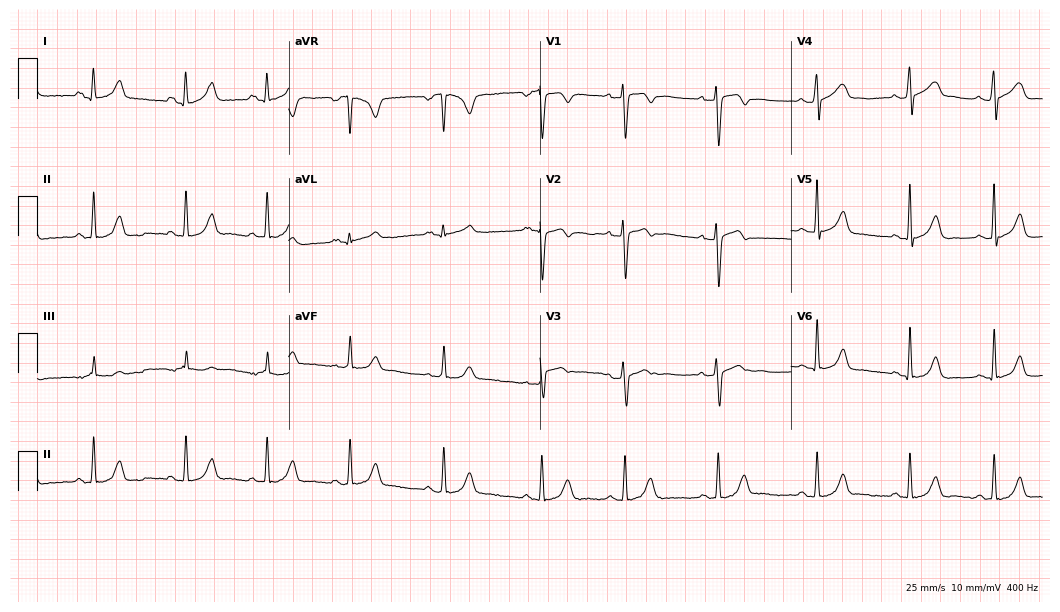
Resting 12-lead electrocardiogram. Patient: a 30-year-old woman. Read as a normal ECG.